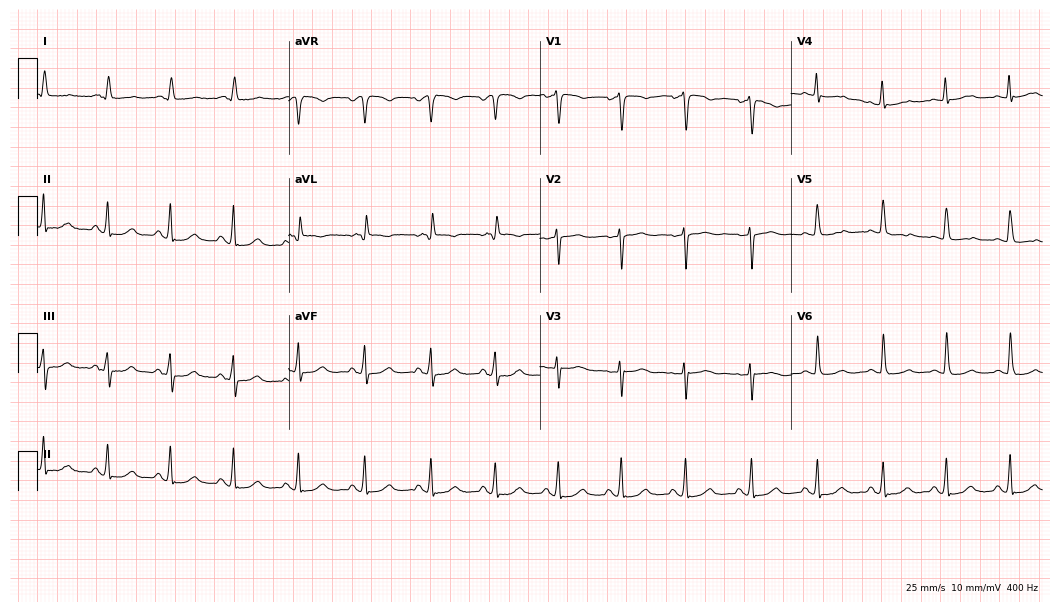
ECG (10.2-second recording at 400 Hz) — a 69-year-old female patient. Screened for six findings — first-degree AV block, right bundle branch block, left bundle branch block, sinus bradycardia, atrial fibrillation, sinus tachycardia — none is recorded. Other findings, if any, are not listed.